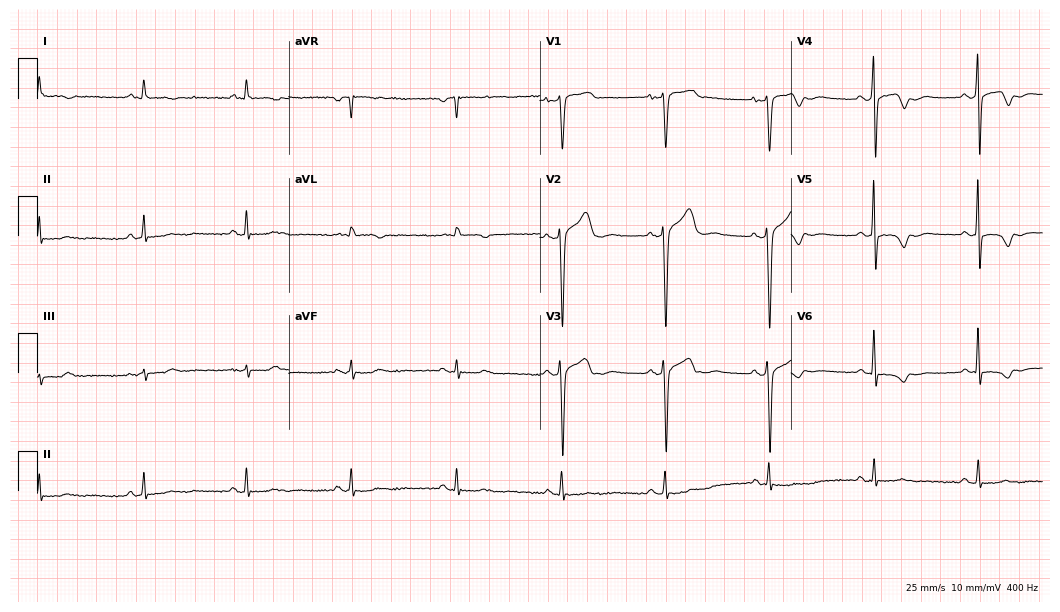
12-lead ECG from a male patient, 52 years old (10.2-second recording at 400 Hz). No first-degree AV block, right bundle branch block (RBBB), left bundle branch block (LBBB), sinus bradycardia, atrial fibrillation (AF) or sinus tachycardia recorded for this tracing.